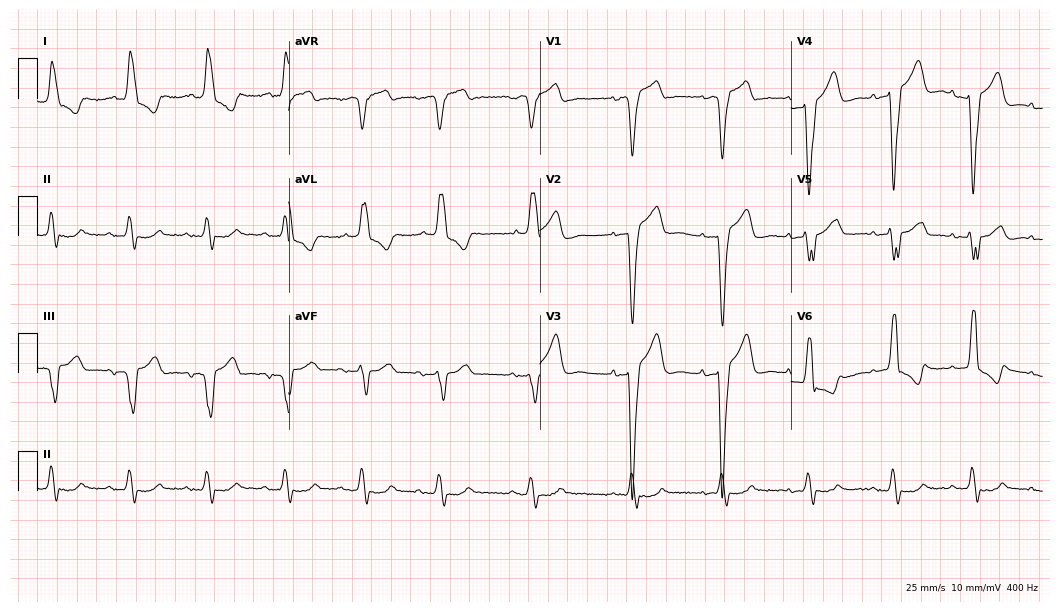
Standard 12-lead ECG recorded from a female patient, 82 years old (10.2-second recording at 400 Hz). The tracing shows left bundle branch block (LBBB).